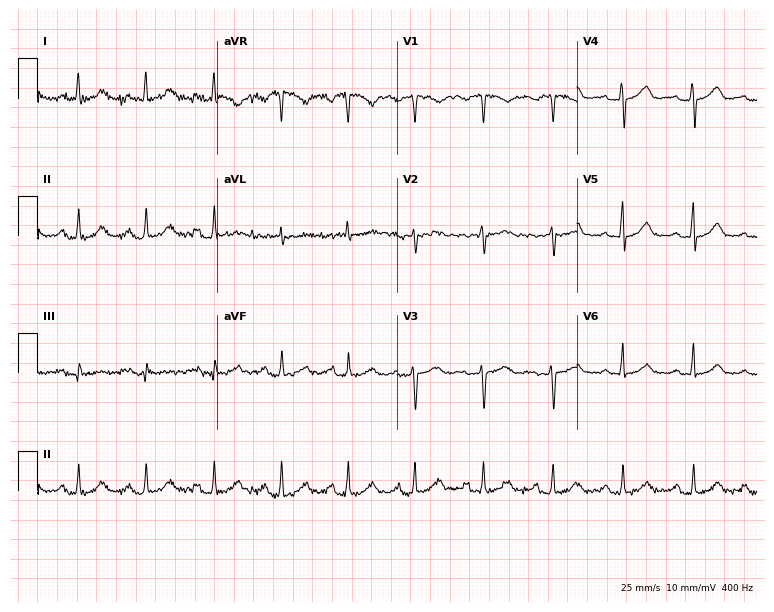
ECG (7.3-second recording at 400 Hz) — a 57-year-old female patient. Labelled as a normal ECG.